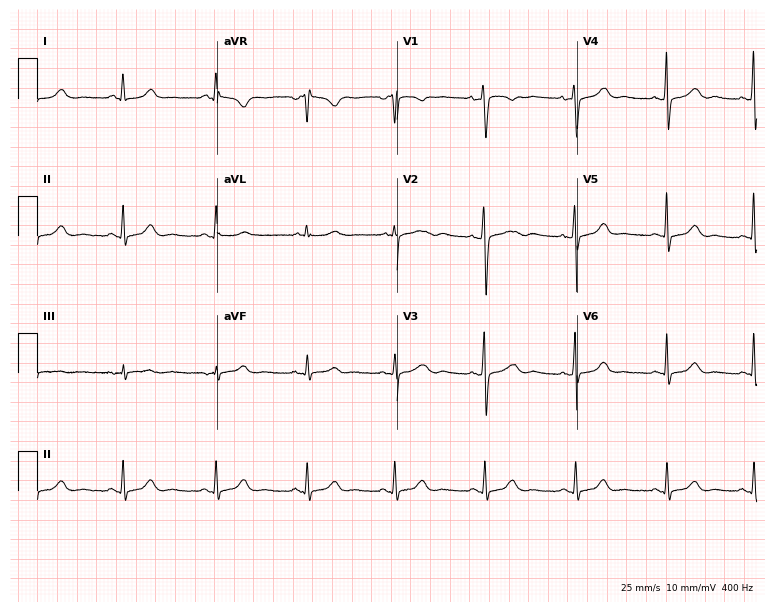
ECG — a female, 50 years old. Screened for six findings — first-degree AV block, right bundle branch block, left bundle branch block, sinus bradycardia, atrial fibrillation, sinus tachycardia — none is recorded.